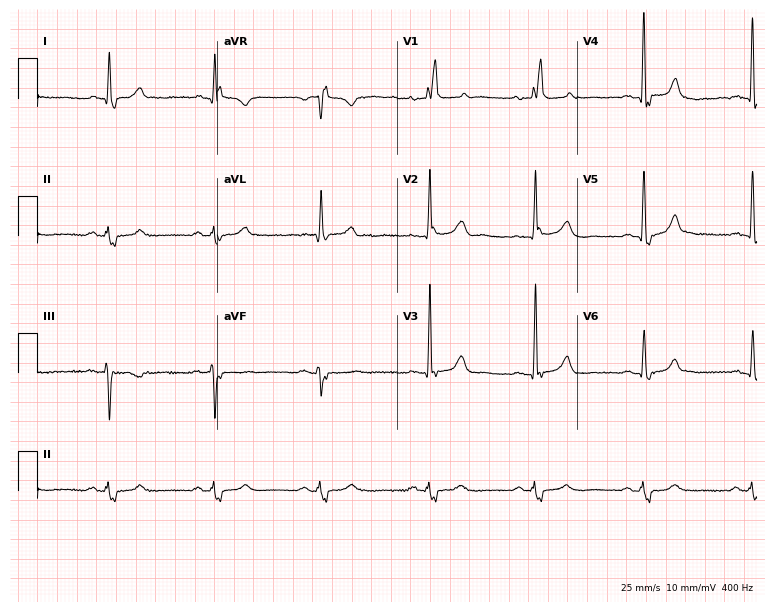
12-lead ECG (7.3-second recording at 400 Hz) from a 75-year-old male patient. Findings include right bundle branch block (RBBB).